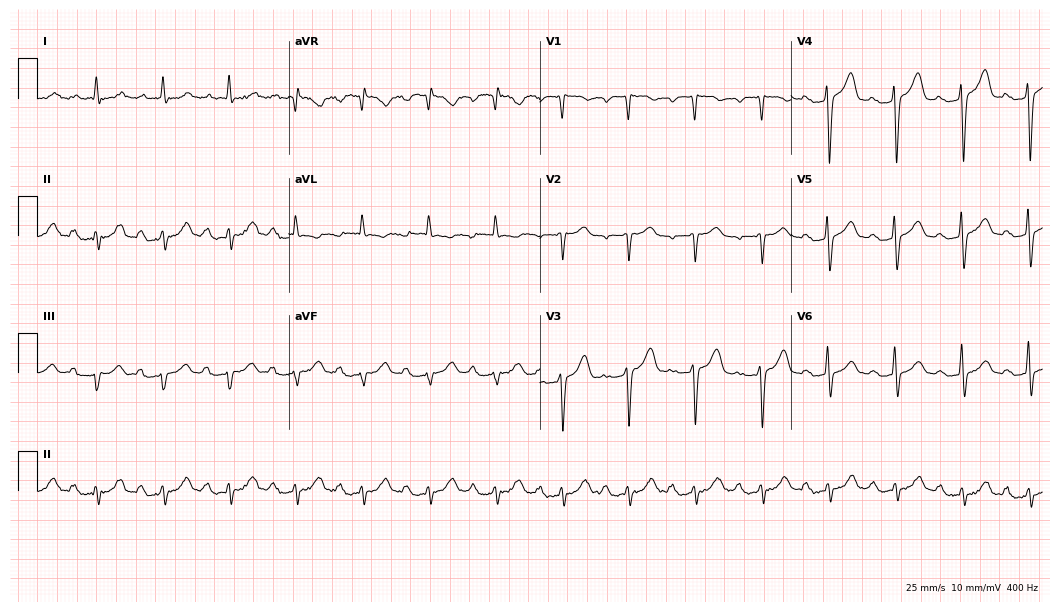
Electrocardiogram (10.2-second recording at 400 Hz), a female patient, 79 years old. Interpretation includes first-degree AV block.